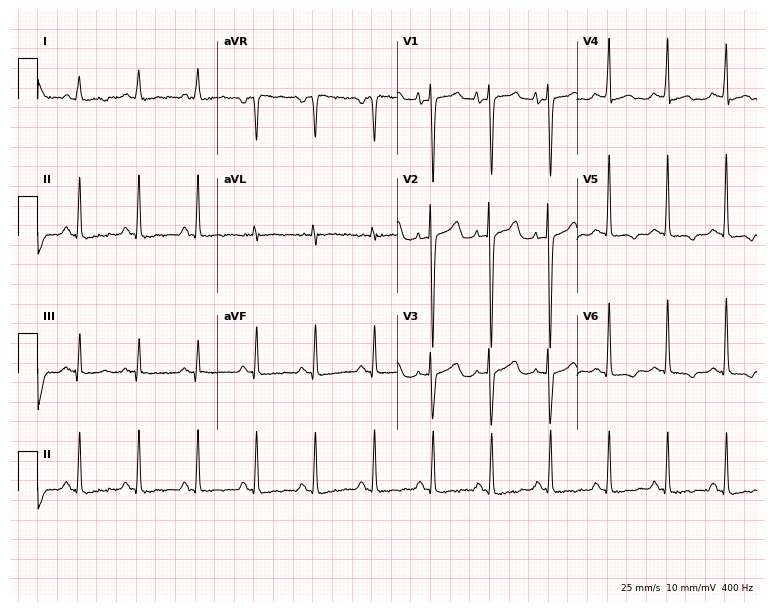
ECG — a 55-year-old woman. Screened for six findings — first-degree AV block, right bundle branch block, left bundle branch block, sinus bradycardia, atrial fibrillation, sinus tachycardia — none is recorded.